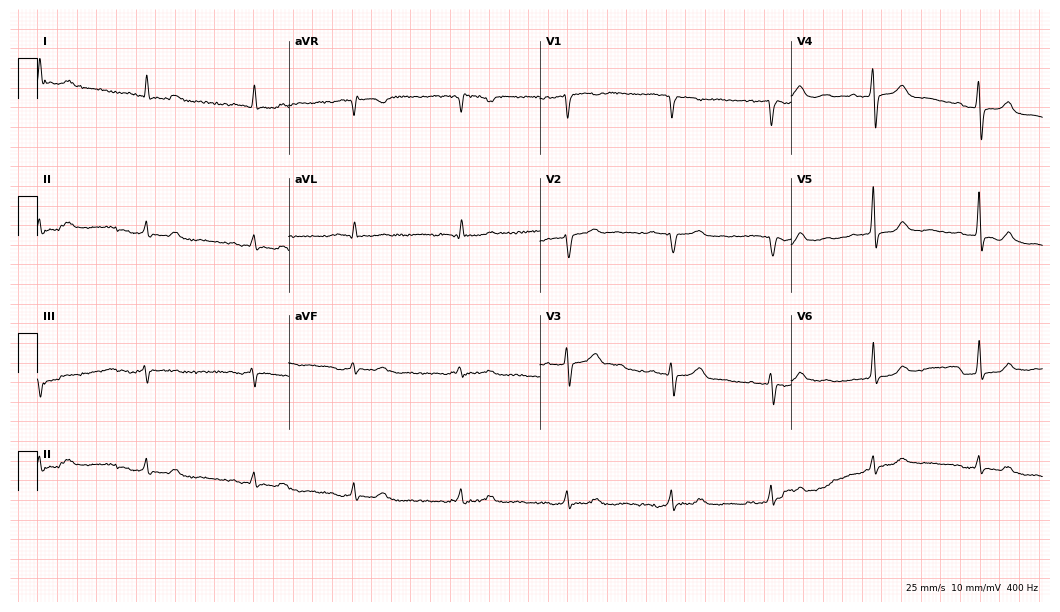
Electrocardiogram, a man, 80 years old. Of the six screened findings (first-degree AV block, right bundle branch block (RBBB), left bundle branch block (LBBB), sinus bradycardia, atrial fibrillation (AF), sinus tachycardia), none is recorded. Other findings, if any, are not listed.